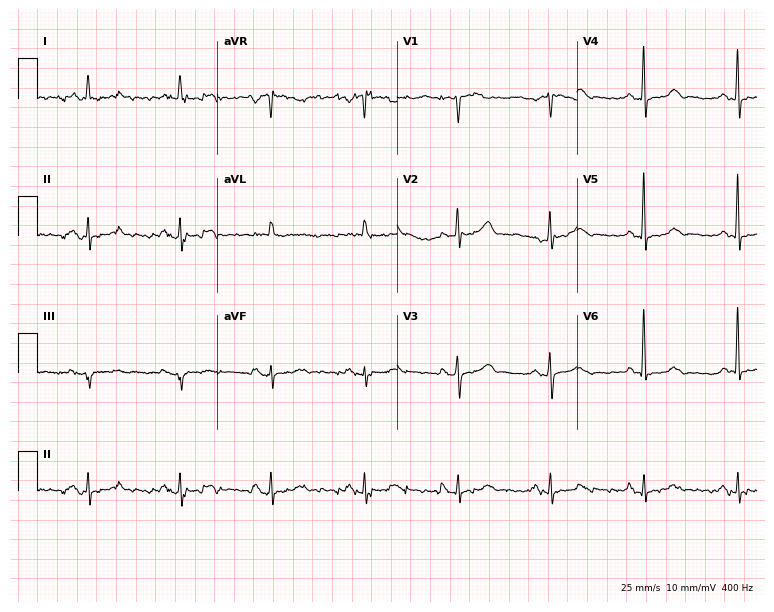
Resting 12-lead electrocardiogram. Patient: a 67-year-old female. None of these six findings is recorded: first-degree AV block, right bundle branch block, left bundle branch block, sinus bradycardia, atrial fibrillation, sinus tachycardia. Other findings, if any, are not listed.